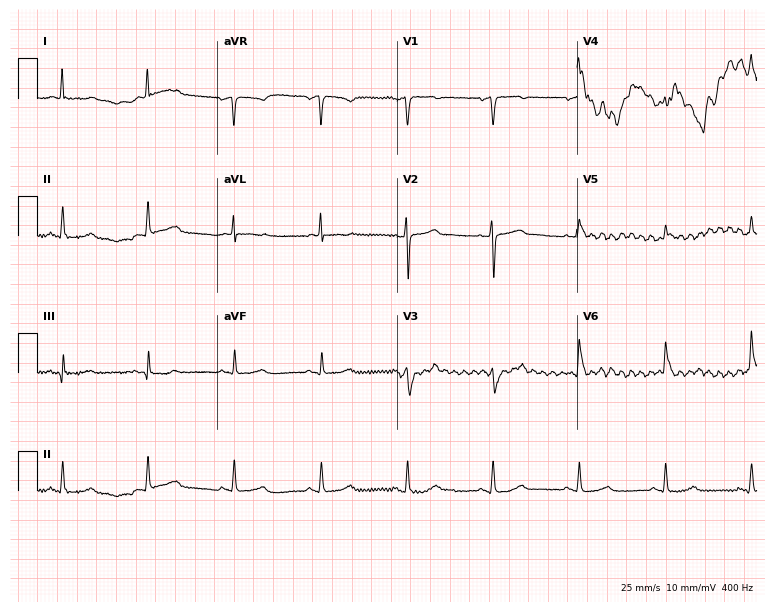
12-lead ECG from a female patient, 74 years old (7.3-second recording at 400 Hz). No first-degree AV block, right bundle branch block, left bundle branch block, sinus bradycardia, atrial fibrillation or sinus tachycardia recorded for this tracing.